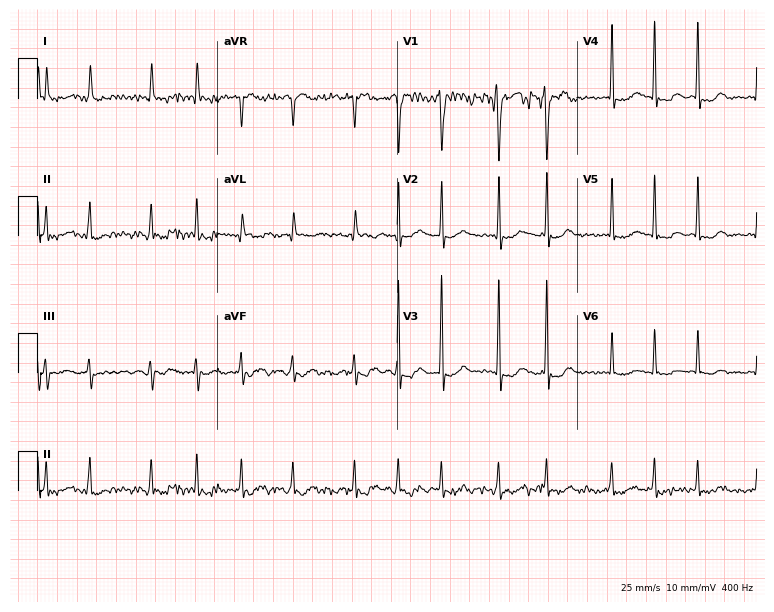
12-lead ECG from an 83-year-old male patient (7.3-second recording at 400 Hz). No first-degree AV block, right bundle branch block, left bundle branch block, sinus bradycardia, atrial fibrillation or sinus tachycardia recorded for this tracing. Only these six findings were labelled.